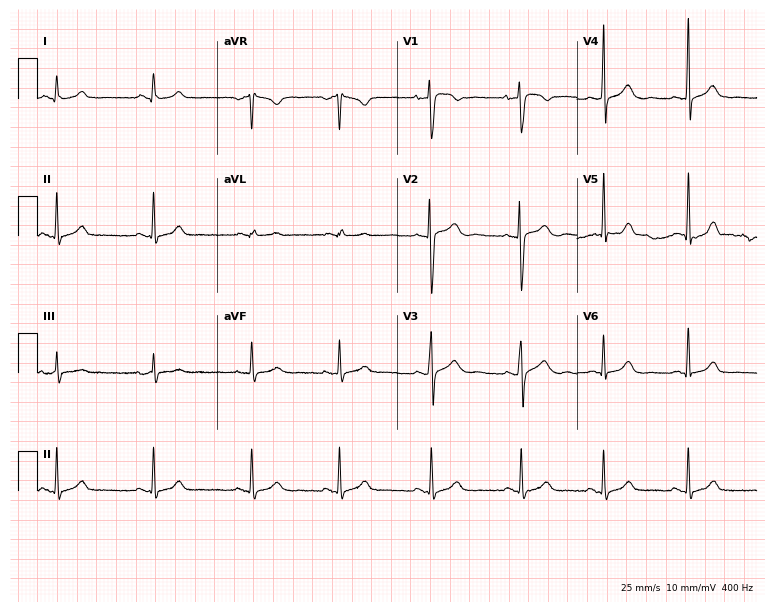
Resting 12-lead electrocardiogram (7.3-second recording at 400 Hz). Patient: a 28-year-old female. None of these six findings is recorded: first-degree AV block, right bundle branch block, left bundle branch block, sinus bradycardia, atrial fibrillation, sinus tachycardia.